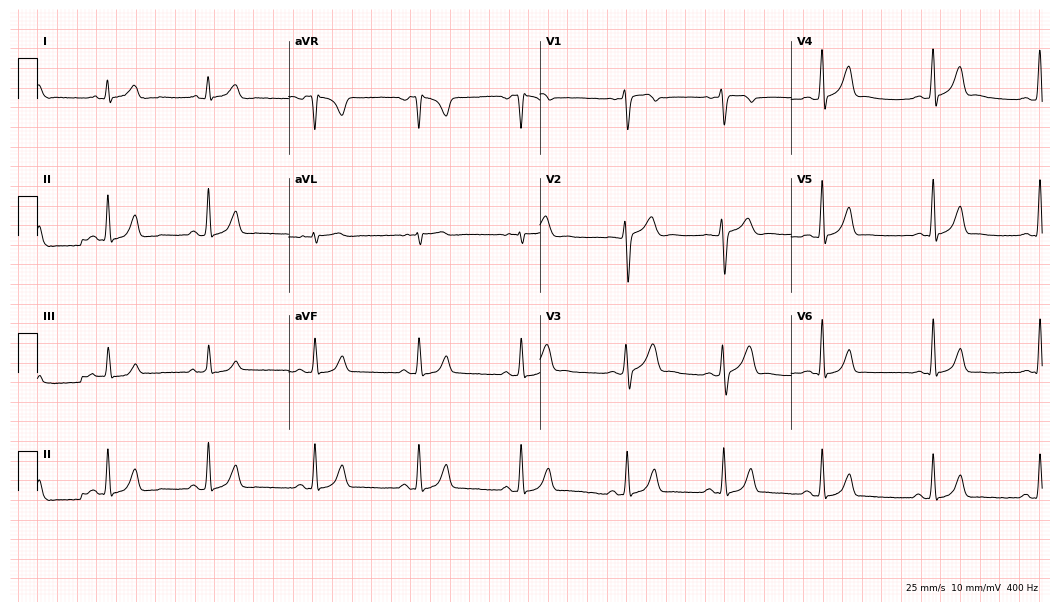
12-lead ECG from a man, 23 years old. Labelled as a normal ECG.